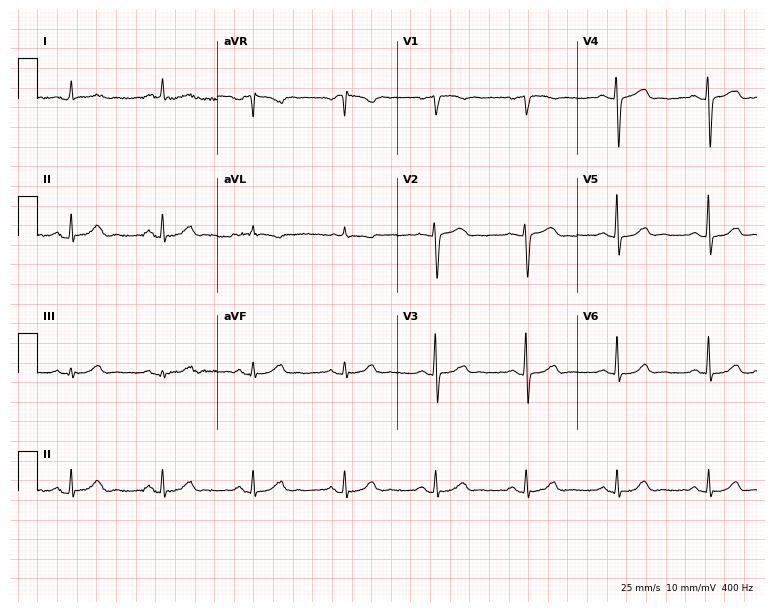
ECG (7.3-second recording at 400 Hz) — a man, 67 years old. Screened for six findings — first-degree AV block, right bundle branch block, left bundle branch block, sinus bradycardia, atrial fibrillation, sinus tachycardia — none is recorded. Findings outside these six are not listed.